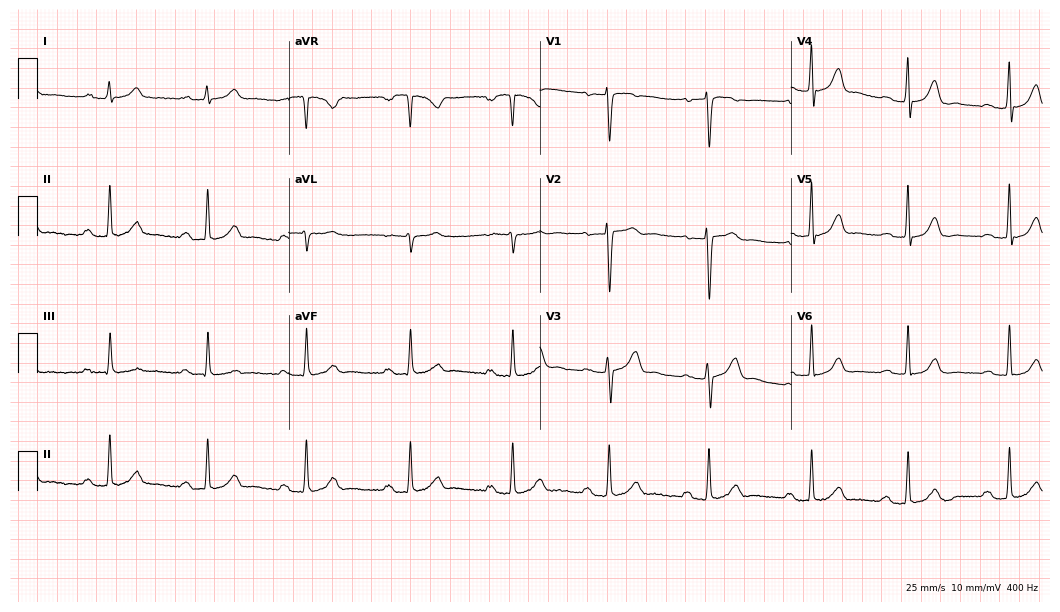
Resting 12-lead electrocardiogram. Patient: a 40-year-old woman. The tracing shows first-degree AV block.